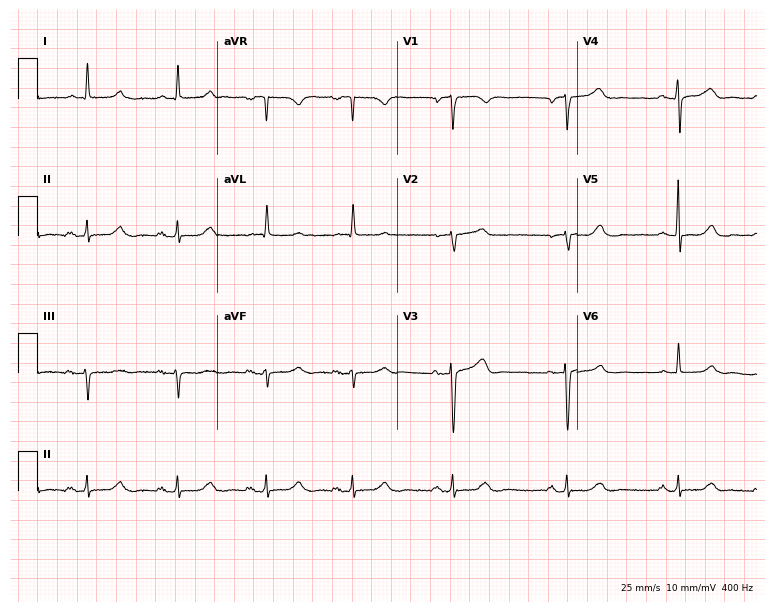
12-lead ECG from a female, 71 years old (7.3-second recording at 400 Hz). Recorded interpretation: within normal limits.